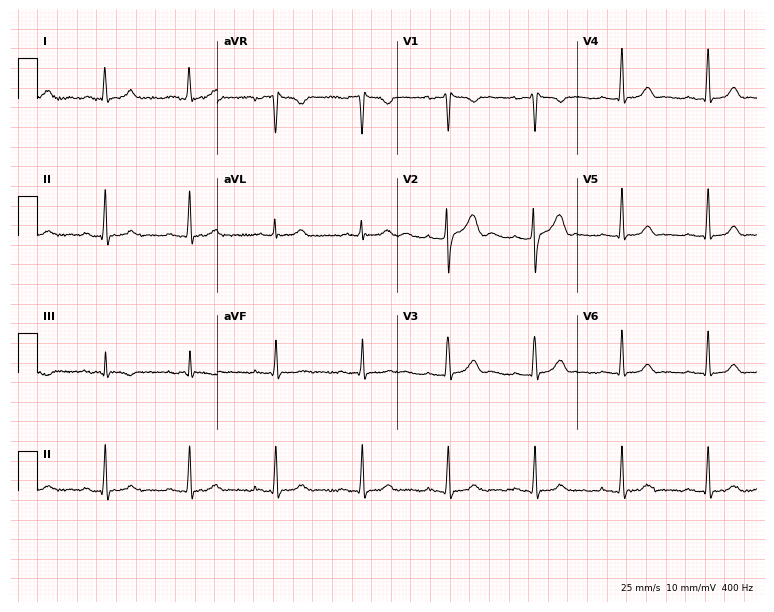
Resting 12-lead electrocardiogram. Patient: a 24-year-old female. Read as a normal ECG.